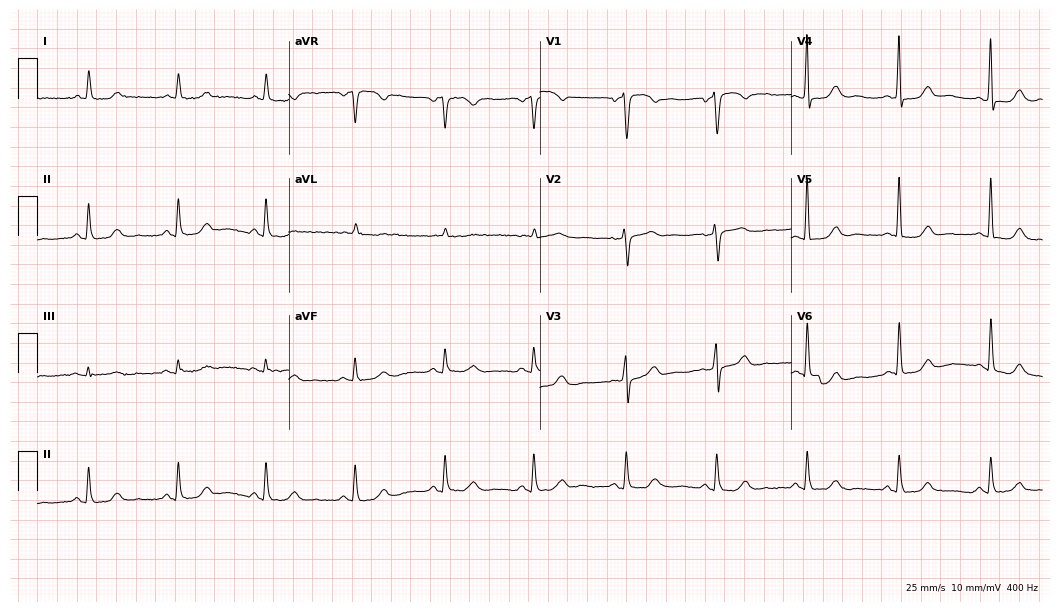
12-lead ECG (10.2-second recording at 400 Hz) from a 61-year-old woman. Labelled as a normal ECG.